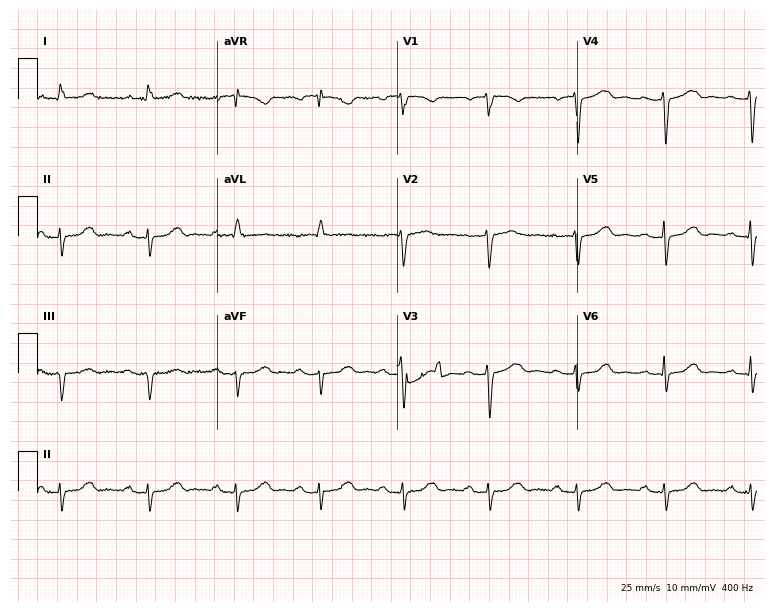
Electrocardiogram (7.3-second recording at 400 Hz), a woman, 77 years old. Of the six screened findings (first-degree AV block, right bundle branch block, left bundle branch block, sinus bradycardia, atrial fibrillation, sinus tachycardia), none is recorded.